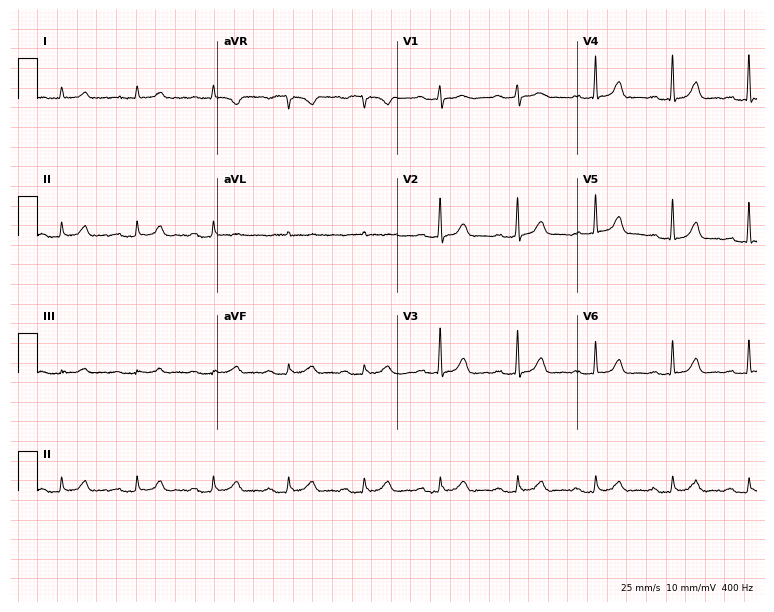
ECG — a woman, 79 years old. Labelled as a normal ECG.